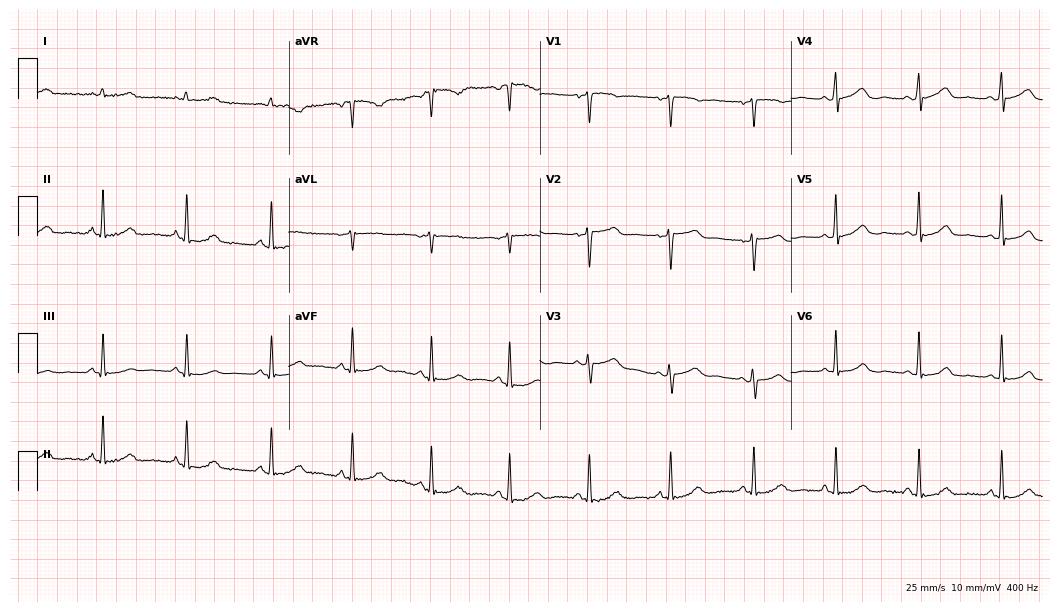
Electrocardiogram, a woman, 56 years old. Overall reading on record: normal ECG.